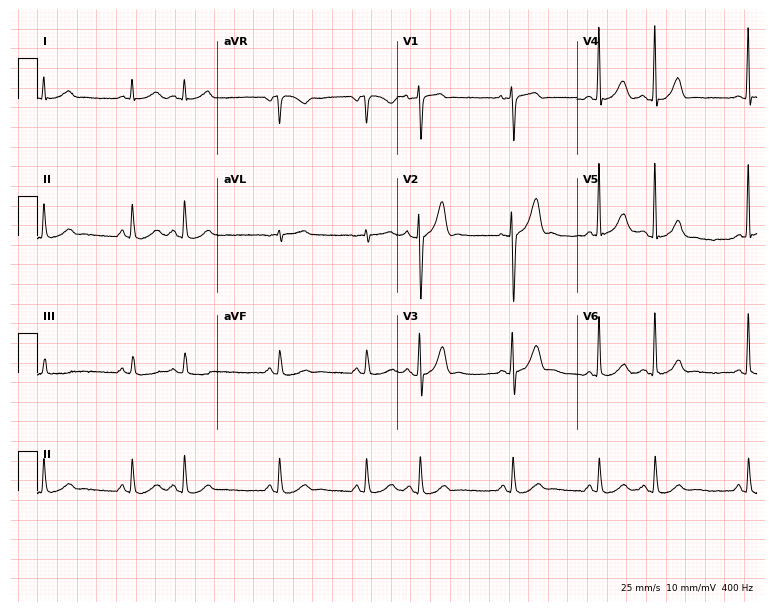
Standard 12-lead ECG recorded from a male patient, 58 years old. Read as a normal ECG.